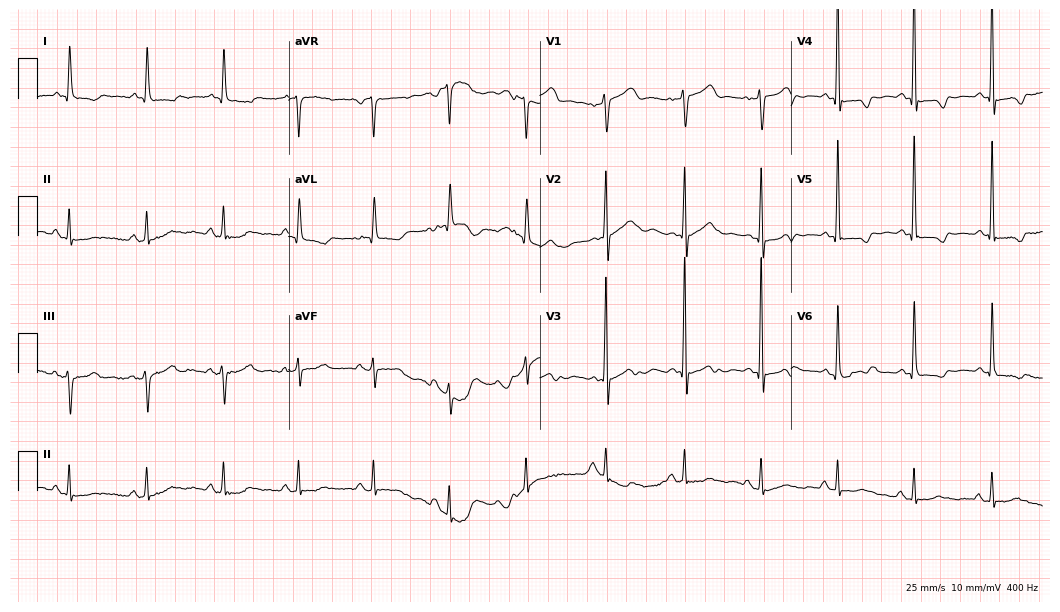
Resting 12-lead electrocardiogram. Patient: a 75-year-old female. None of these six findings is recorded: first-degree AV block, right bundle branch block, left bundle branch block, sinus bradycardia, atrial fibrillation, sinus tachycardia. Findings outside these six are not listed.